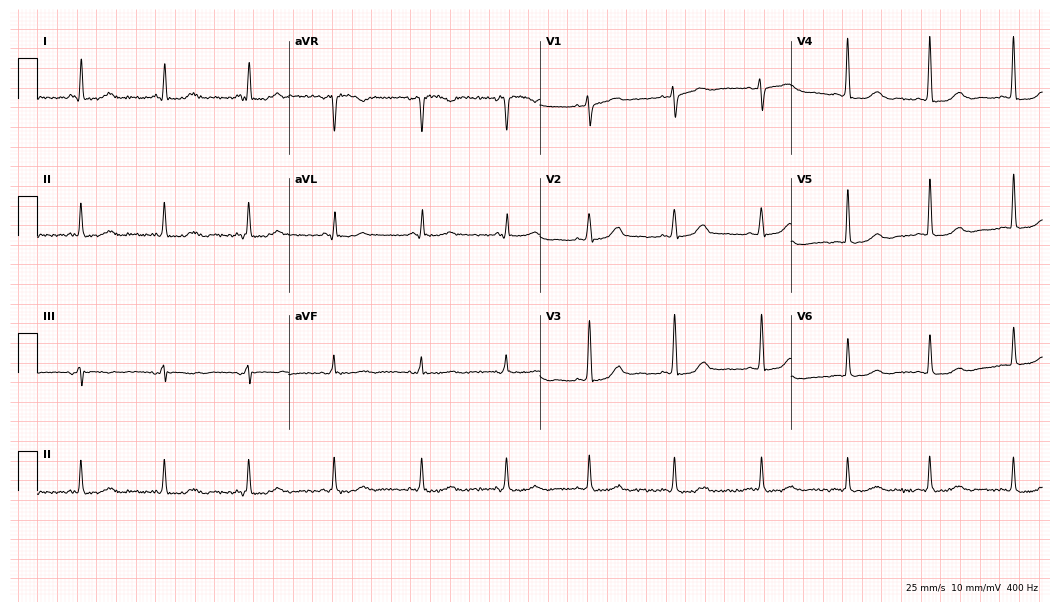
Resting 12-lead electrocardiogram. Patient: a 60-year-old female. None of these six findings is recorded: first-degree AV block, right bundle branch block, left bundle branch block, sinus bradycardia, atrial fibrillation, sinus tachycardia.